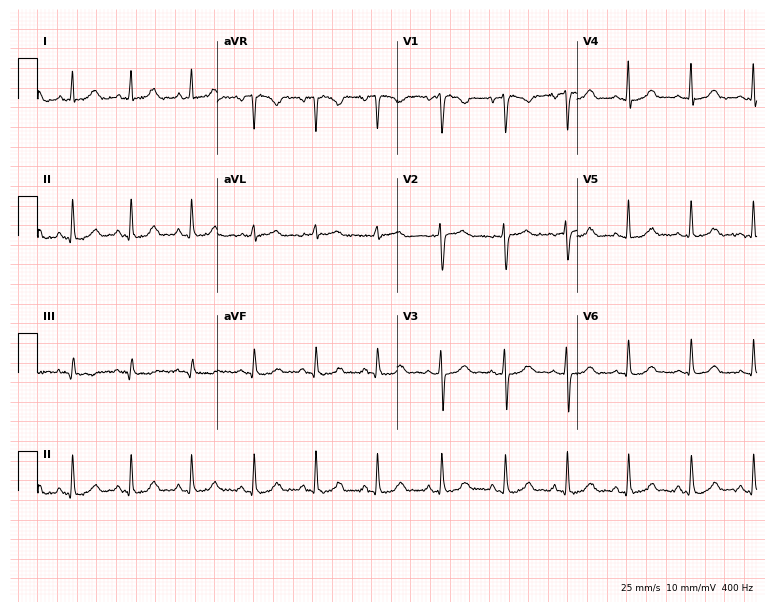
Electrocardiogram (7.3-second recording at 400 Hz), a woman, 19 years old. Overall reading on record: normal ECG.